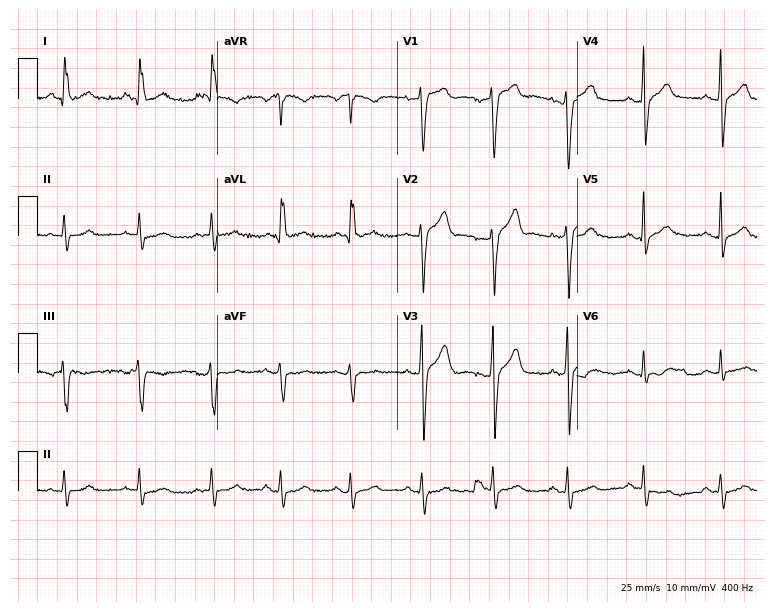
ECG — a 42-year-old man. Labelled as a normal ECG.